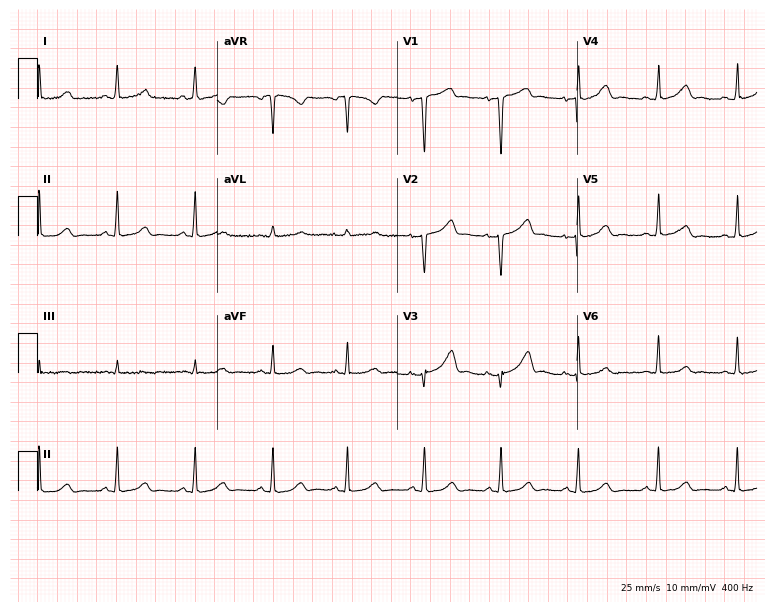
Standard 12-lead ECG recorded from a 39-year-old woman (7.3-second recording at 400 Hz). Read as a normal ECG.